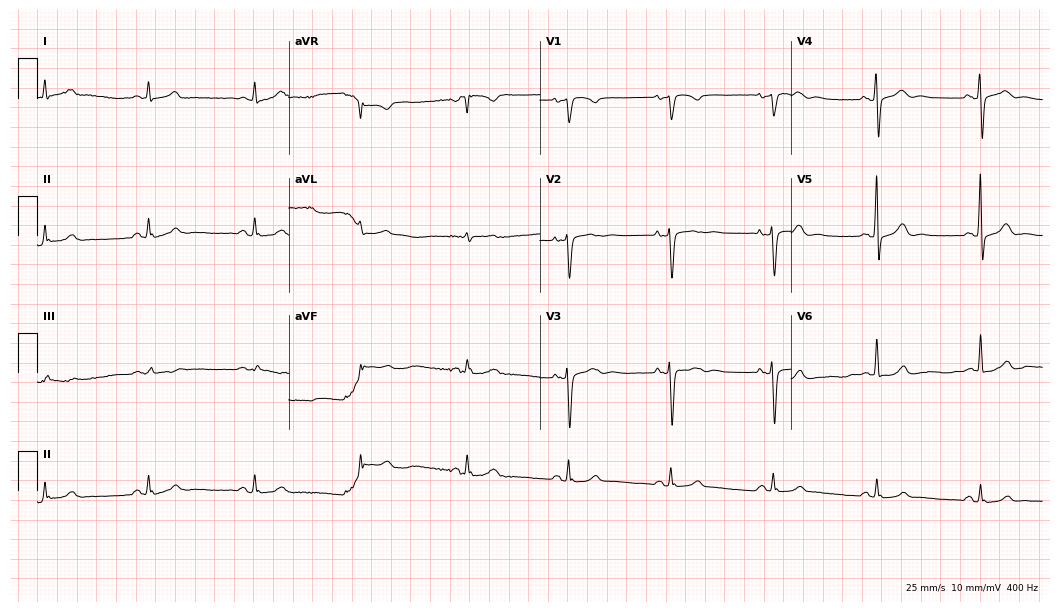
Electrocardiogram, a male, 77 years old. Overall reading on record: normal ECG.